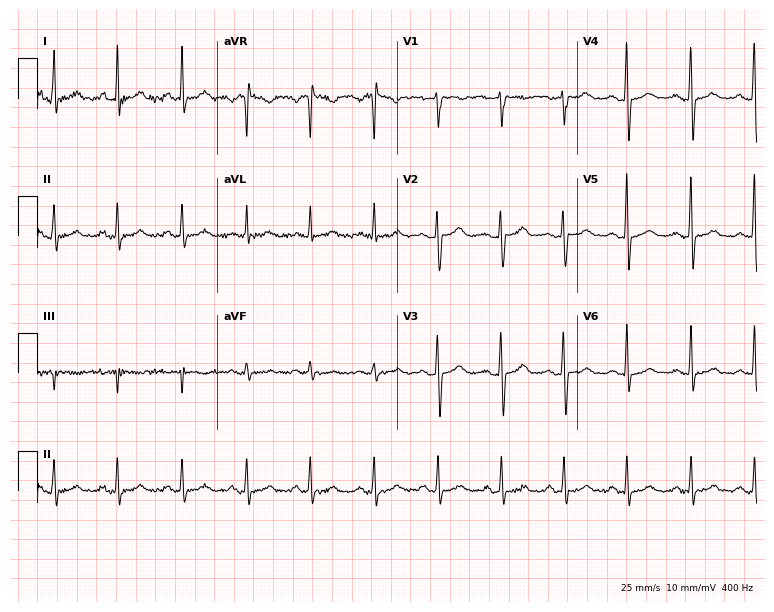
ECG — a 43-year-old female. Screened for six findings — first-degree AV block, right bundle branch block, left bundle branch block, sinus bradycardia, atrial fibrillation, sinus tachycardia — none is recorded.